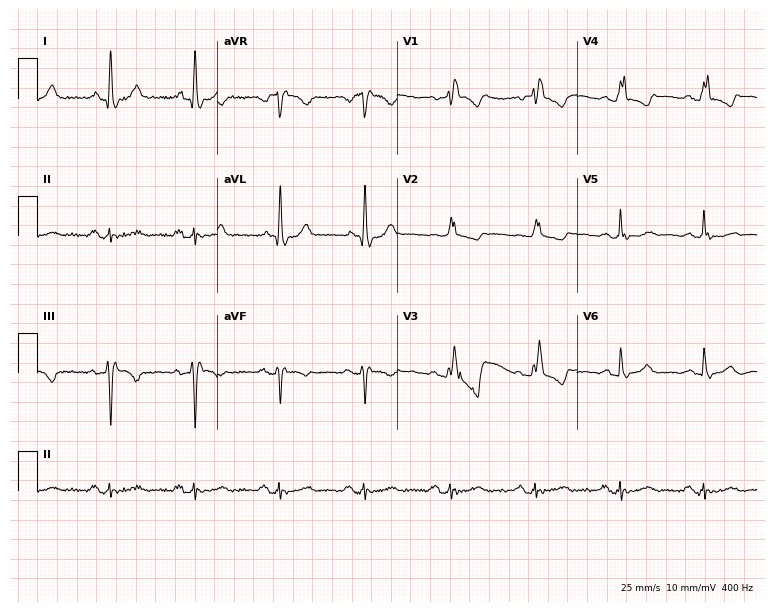
Electrocardiogram (7.3-second recording at 400 Hz), a 66-year-old female patient. Interpretation includes right bundle branch block (RBBB).